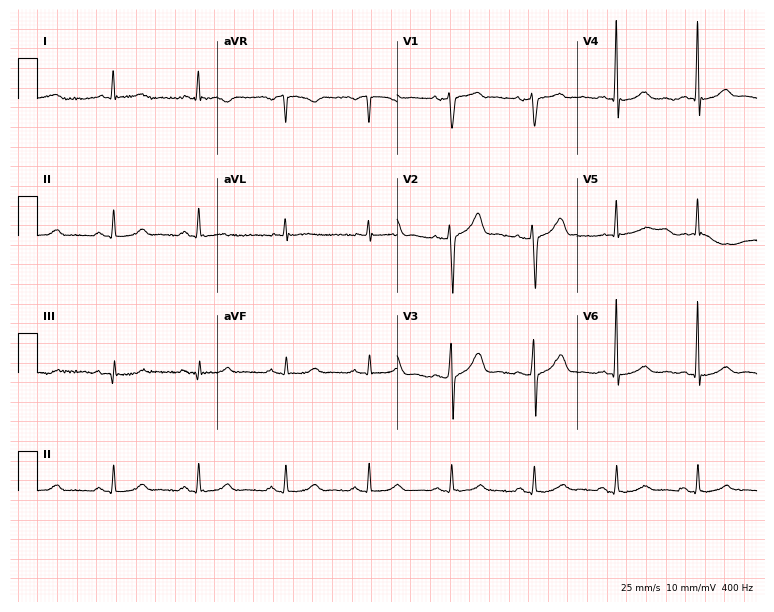
12-lead ECG from a male, 69 years old (7.3-second recording at 400 Hz). No first-degree AV block, right bundle branch block, left bundle branch block, sinus bradycardia, atrial fibrillation or sinus tachycardia recorded for this tracing.